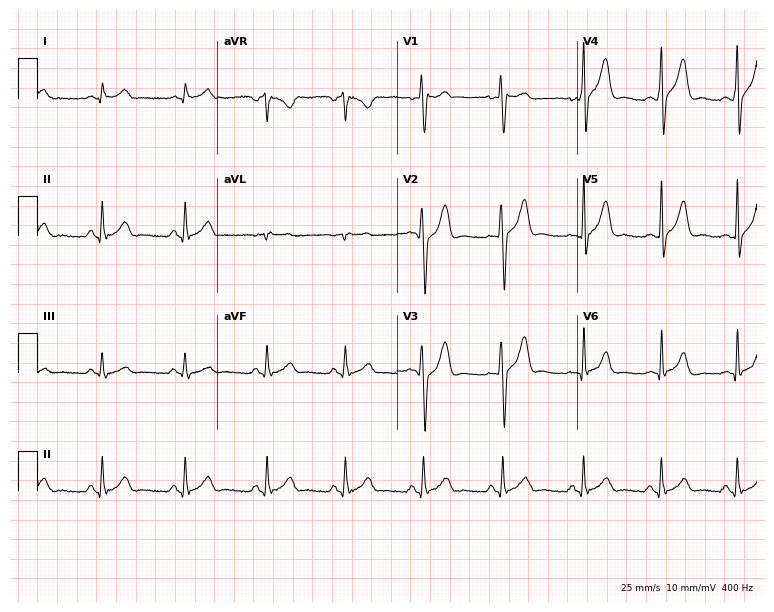
12-lead ECG (7.3-second recording at 400 Hz) from a male, 24 years old. Screened for six findings — first-degree AV block, right bundle branch block, left bundle branch block, sinus bradycardia, atrial fibrillation, sinus tachycardia — none is recorded.